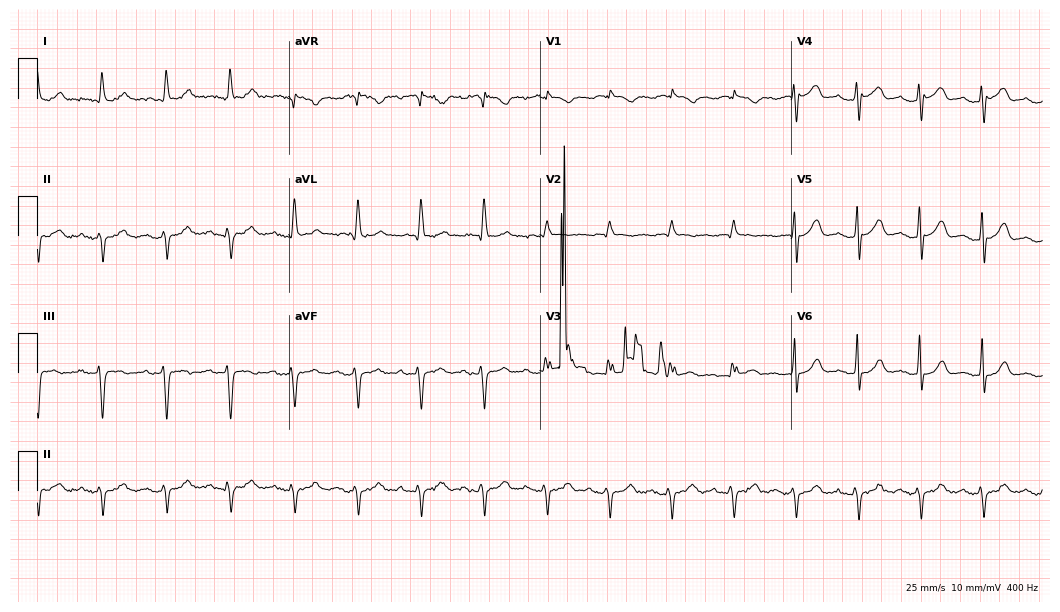
12-lead ECG from a 79-year-old male patient. No first-degree AV block, right bundle branch block (RBBB), left bundle branch block (LBBB), sinus bradycardia, atrial fibrillation (AF) or sinus tachycardia recorded for this tracing. Findings outside these six are not listed.